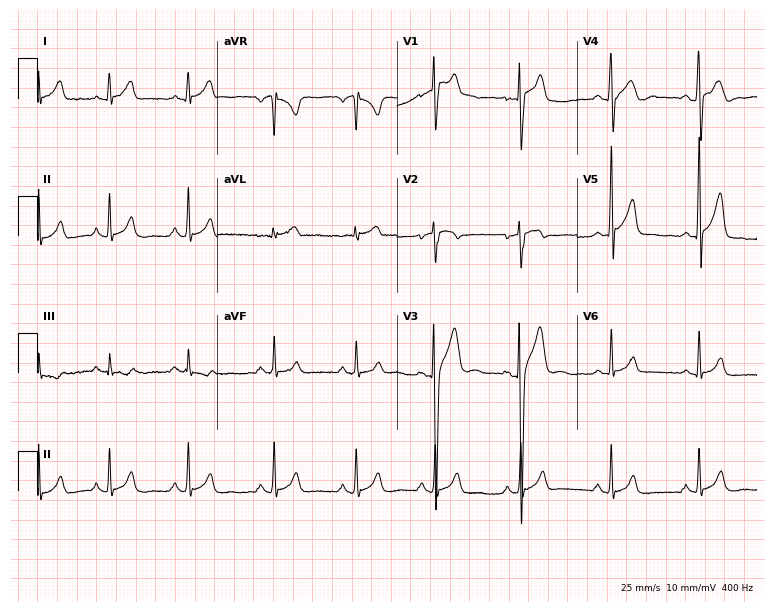
Standard 12-lead ECG recorded from a male patient, 21 years old (7.3-second recording at 400 Hz). None of these six findings is recorded: first-degree AV block, right bundle branch block (RBBB), left bundle branch block (LBBB), sinus bradycardia, atrial fibrillation (AF), sinus tachycardia. Findings outside these six are not listed.